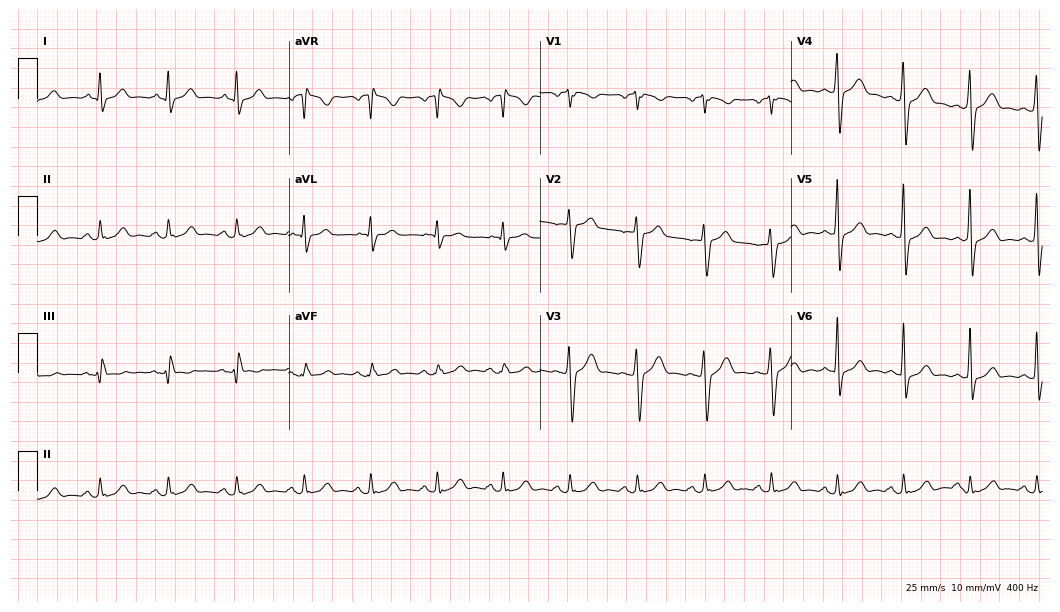
12-lead ECG (10.2-second recording at 400 Hz) from a 34-year-old male. Screened for six findings — first-degree AV block, right bundle branch block, left bundle branch block, sinus bradycardia, atrial fibrillation, sinus tachycardia — none is recorded.